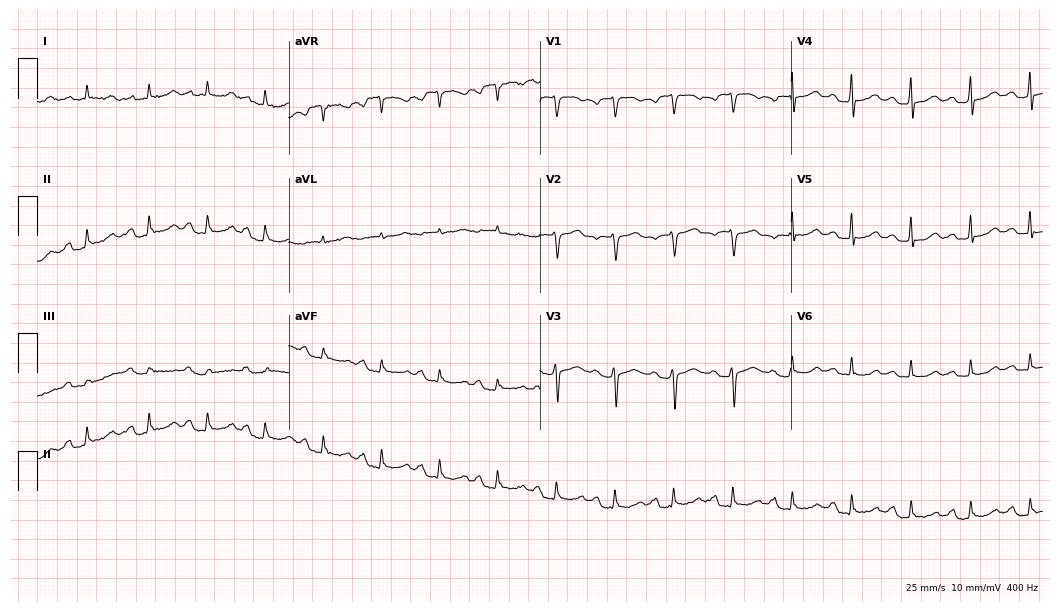
12-lead ECG from a 69-year-old woman. No first-degree AV block, right bundle branch block (RBBB), left bundle branch block (LBBB), sinus bradycardia, atrial fibrillation (AF) or sinus tachycardia recorded for this tracing.